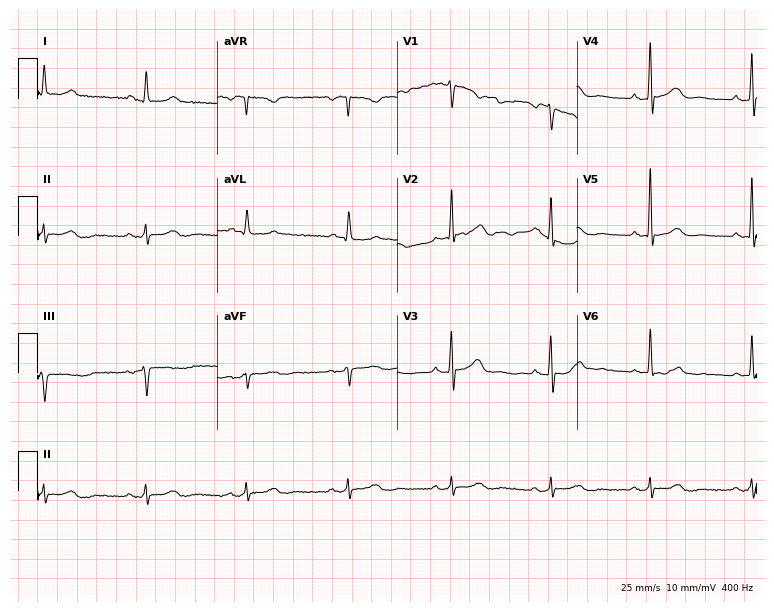
12-lead ECG from a female patient, 71 years old. No first-degree AV block, right bundle branch block, left bundle branch block, sinus bradycardia, atrial fibrillation or sinus tachycardia recorded for this tracing. Only these six findings were labelled.